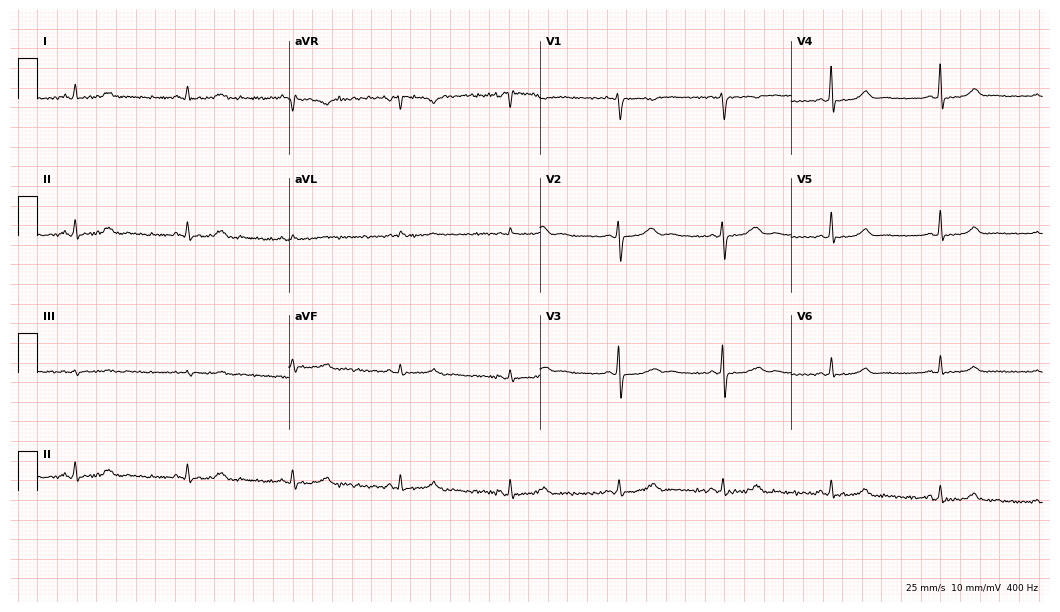
12-lead ECG (10.2-second recording at 400 Hz) from a female, 47 years old. Labelled as a normal ECG.